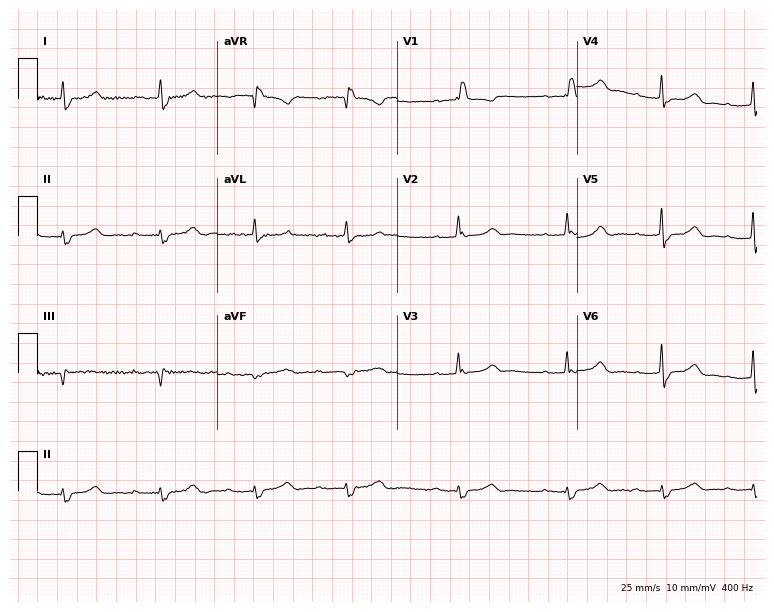
12-lead ECG from a male patient, 77 years old (7.3-second recording at 400 Hz). Shows first-degree AV block, right bundle branch block.